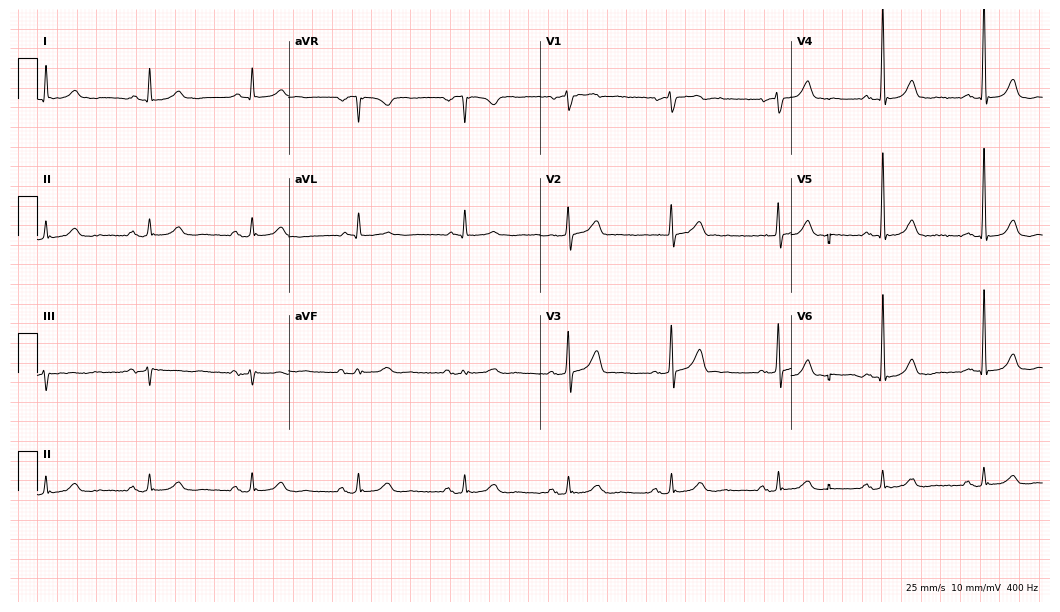
Standard 12-lead ECG recorded from a man, 62 years old. None of these six findings is recorded: first-degree AV block, right bundle branch block, left bundle branch block, sinus bradycardia, atrial fibrillation, sinus tachycardia.